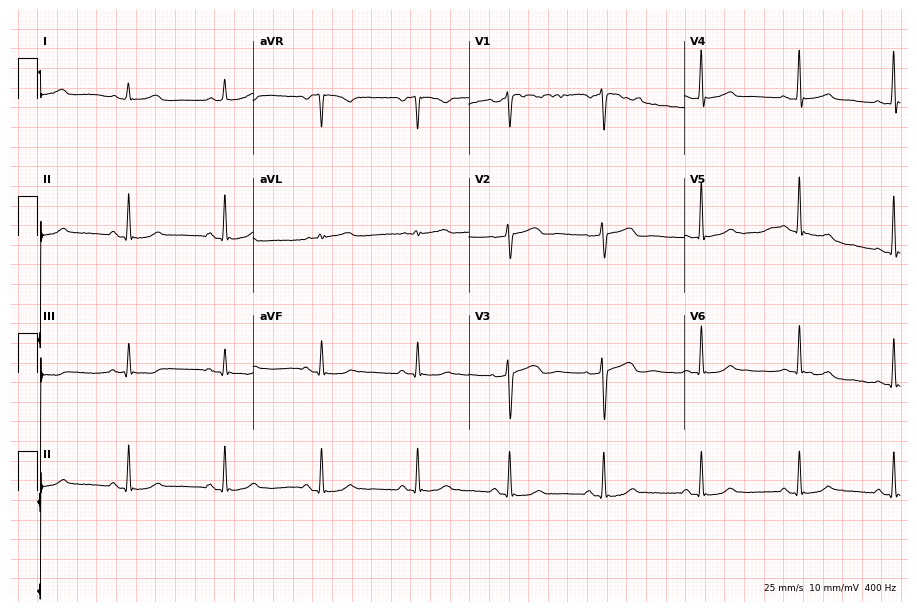
Resting 12-lead electrocardiogram (8.8-second recording at 400 Hz). Patient: a 52-year-old woman. Read as a normal ECG.